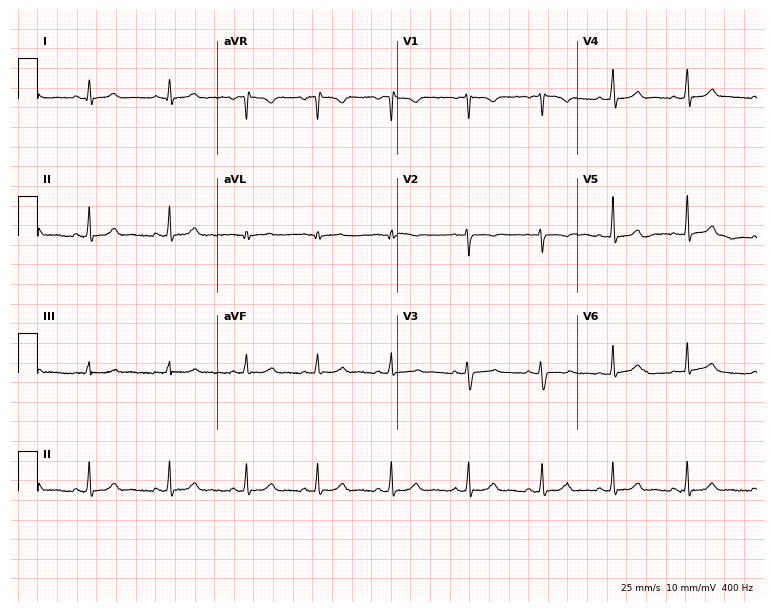
12-lead ECG from a 23-year-old female. No first-degree AV block, right bundle branch block (RBBB), left bundle branch block (LBBB), sinus bradycardia, atrial fibrillation (AF) or sinus tachycardia recorded for this tracing. Findings outside these six are not listed.